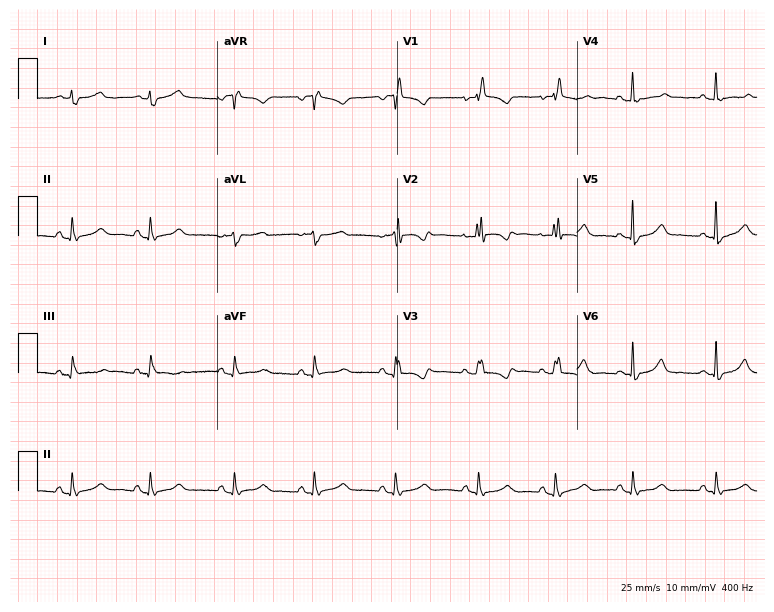
Resting 12-lead electrocardiogram (7.3-second recording at 400 Hz). Patient: a female, 41 years old. None of these six findings is recorded: first-degree AV block, right bundle branch block (RBBB), left bundle branch block (LBBB), sinus bradycardia, atrial fibrillation (AF), sinus tachycardia.